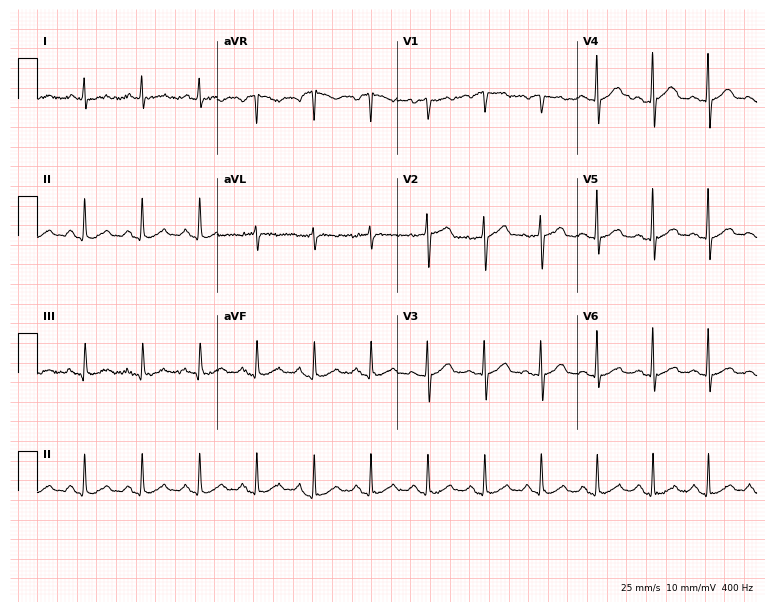
Electrocardiogram (7.3-second recording at 400 Hz), a 27-year-old male patient. Overall reading on record: normal ECG.